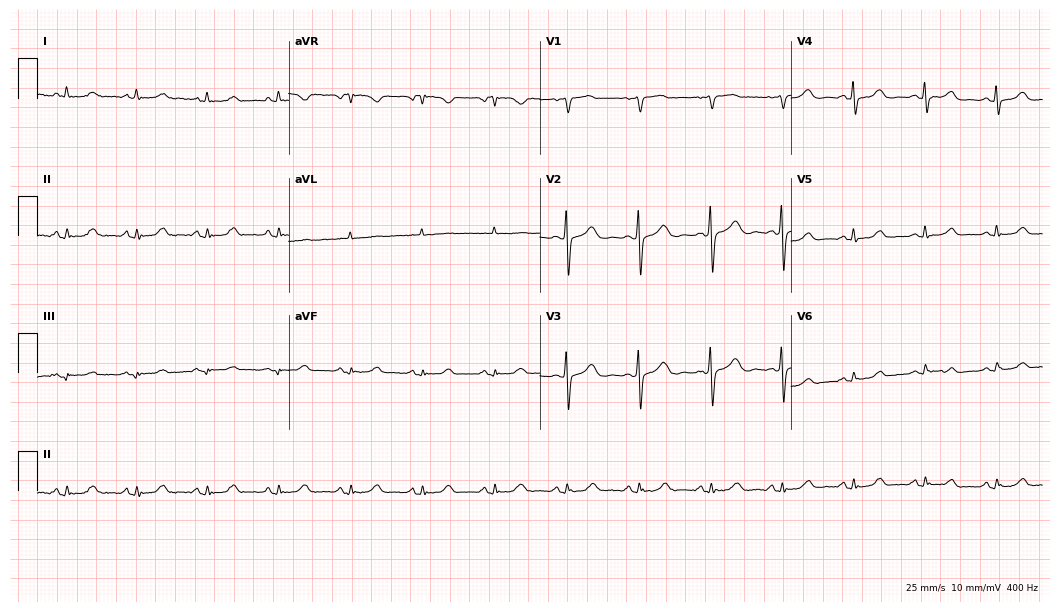
12-lead ECG (10.2-second recording at 400 Hz) from a 60-year-old female. Screened for six findings — first-degree AV block, right bundle branch block, left bundle branch block, sinus bradycardia, atrial fibrillation, sinus tachycardia — none is recorded.